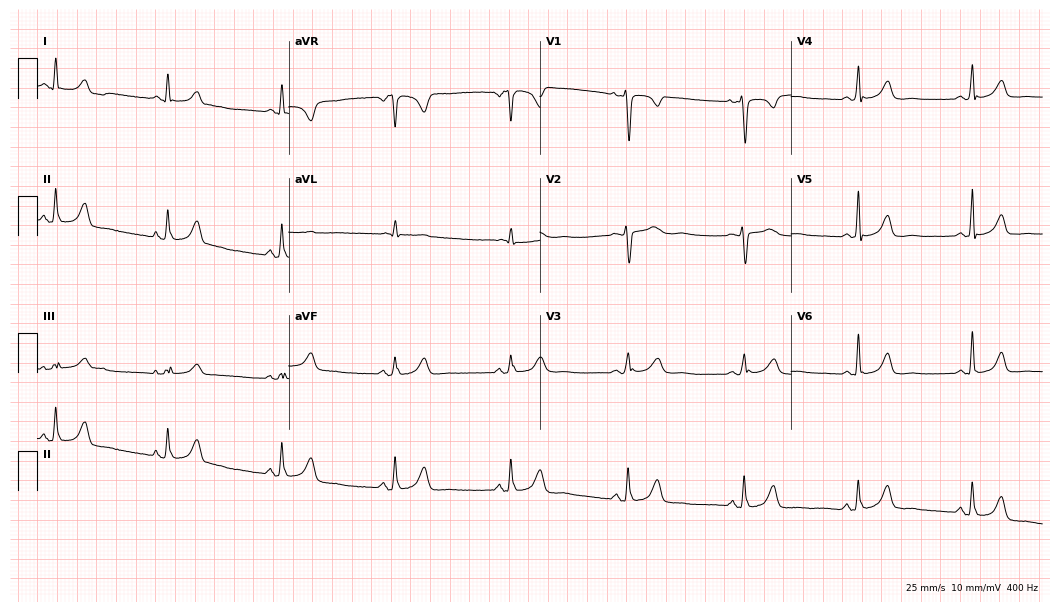
Resting 12-lead electrocardiogram. Patient: a woman, 52 years old. The tracing shows sinus bradycardia (a sinus rate of 50 beats per minute or less).